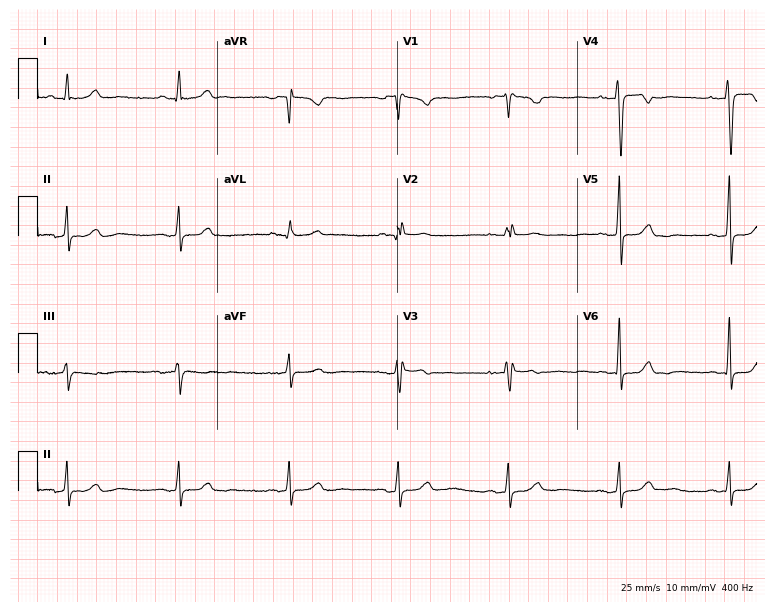
12-lead ECG from a female, 52 years old. No first-degree AV block, right bundle branch block, left bundle branch block, sinus bradycardia, atrial fibrillation or sinus tachycardia recorded for this tracing.